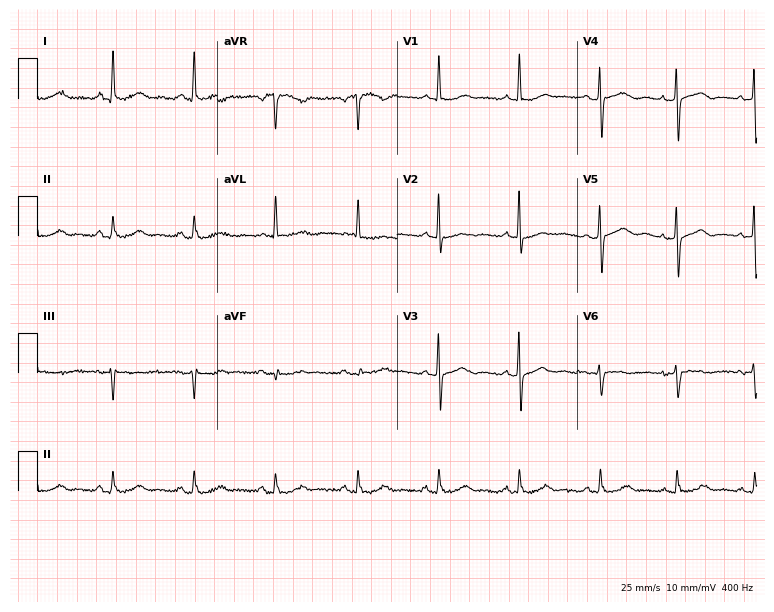
Standard 12-lead ECG recorded from an 82-year-old woman. Read as a normal ECG.